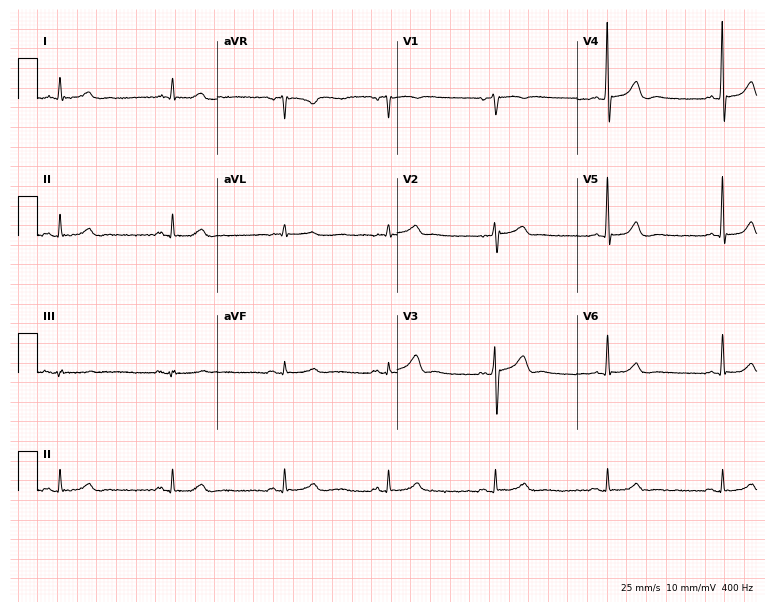
ECG — a male patient, 70 years old. Labelled as a normal ECG.